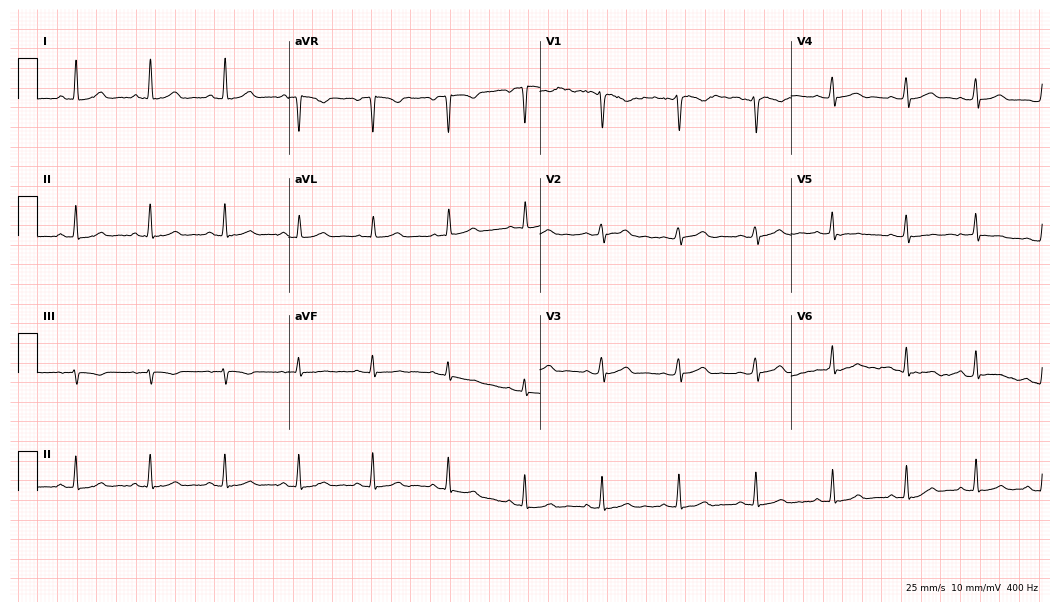
Electrocardiogram (10.2-second recording at 400 Hz), a 32-year-old woman. Of the six screened findings (first-degree AV block, right bundle branch block (RBBB), left bundle branch block (LBBB), sinus bradycardia, atrial fibrillation (AF), sinus tachycardia), none is recorded.